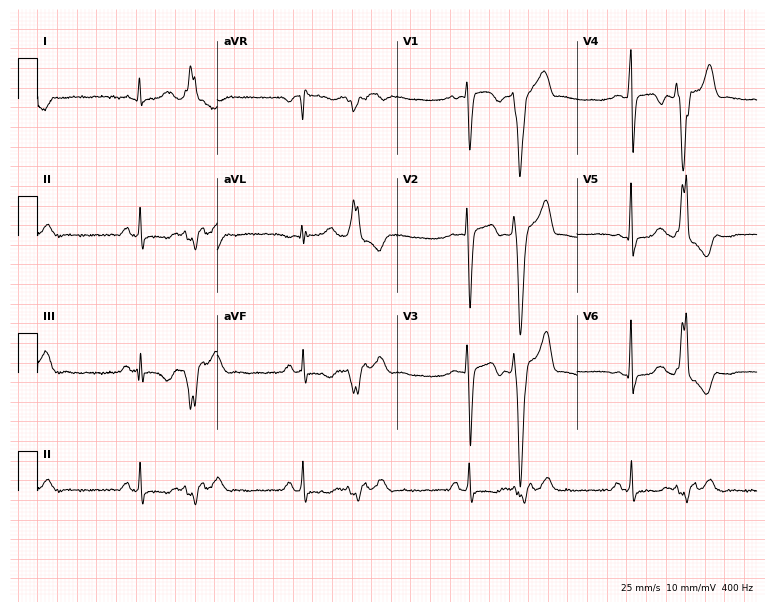
Standard 12-lead ECG recorded from a female, 37 years old (7.3-second recording at 400 Hz). None of these six findings is recorded: first-degree AV block, right bundle branch block (RBBB), left bundle branch block (LBBB), sinus bradycardia, atrial fibrillation (AF), sinus tachycardia. Other findings, if any, are not listed.